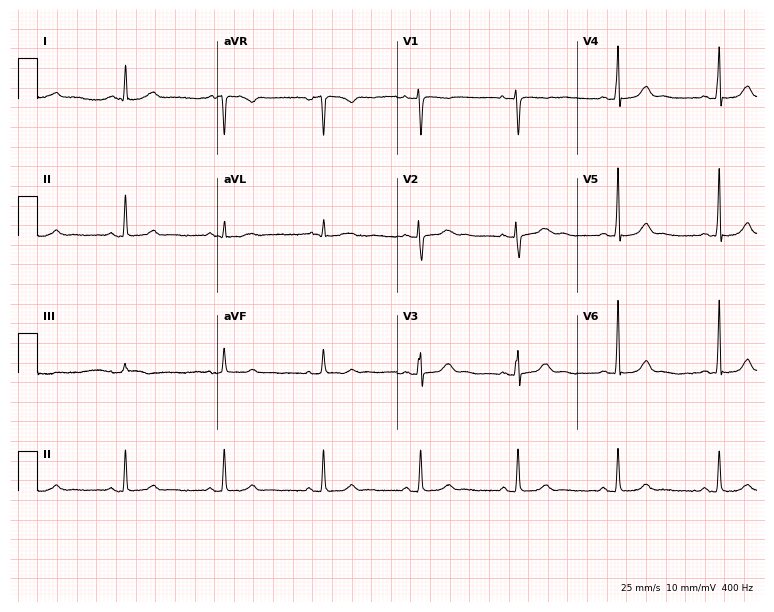
12-lead ECG from a female, 39 years old. Labelled as a normal ECG.